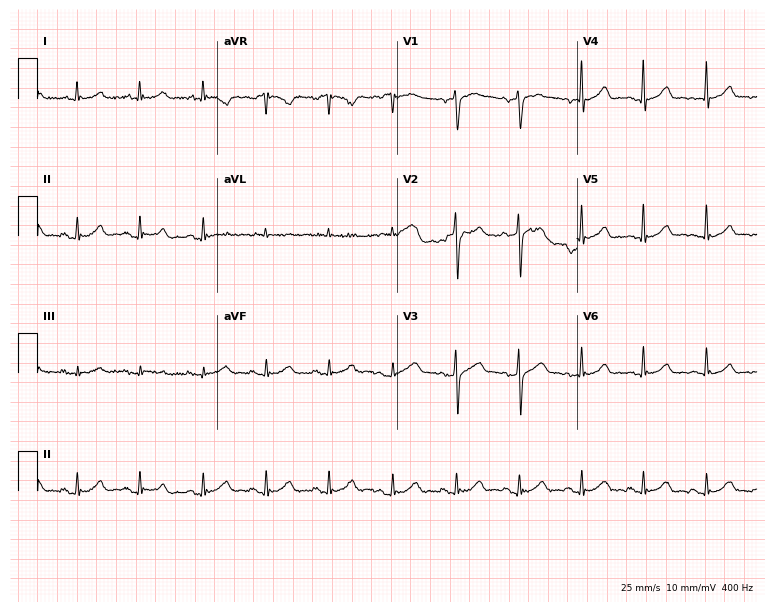
12-lead ECG from a 53-year-old man. Screened for six findings — first-degree AV block, right bundle branch block, left bundle branch block, sinus bradycardia, atrial fibrillation, sinus tachycardia — none is recorded.